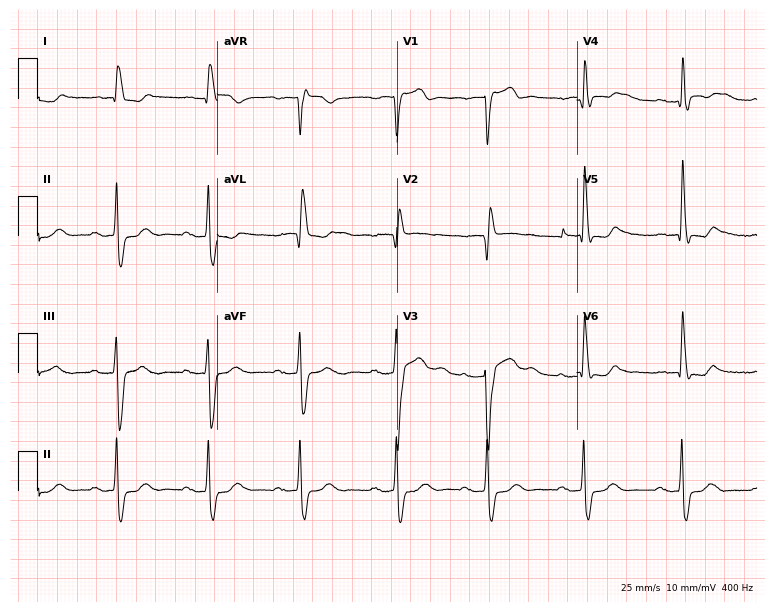
Resting 12-lead electrocardiogram. Patient: an 86-year-old male. The tracing shows first-degree AV block.